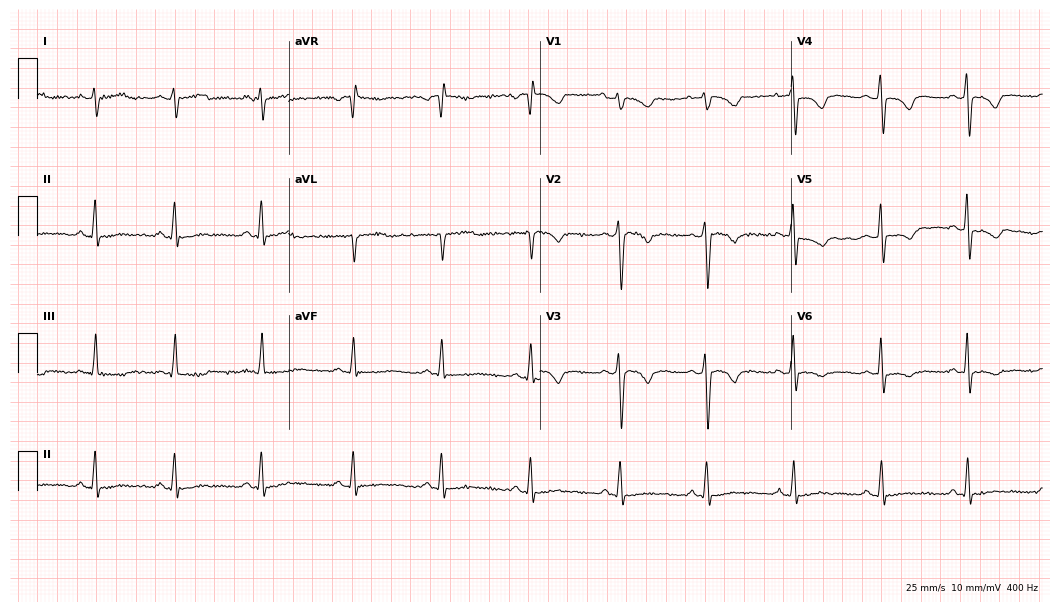
Resting 12-lead electrocardiogram (10.2-second recording at 400 Hz). Patient: a female, 45 years old. None of these six findings is recorded: first-degree AV block, right bundle branch block, left bundle branch block, sinus bradycardia, atrial fibrillation, sinus tachycardia. Only these six findings were labelled.